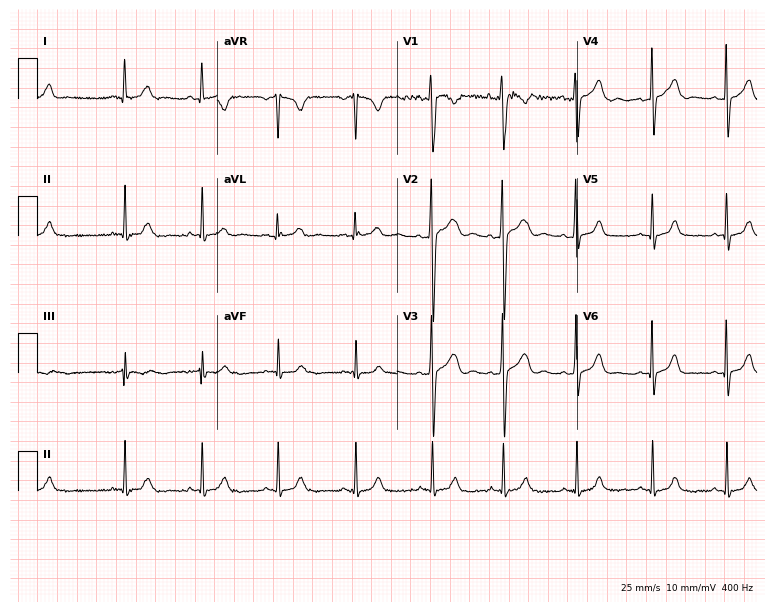
Electrocardiogram, an 18-year-old man. Of the six screened findings (first-degree AV block, right bundle branch block, left bundle branch block, sinus bradycardia, atrial fibrillation, sinus tachycardia), none is recorded.